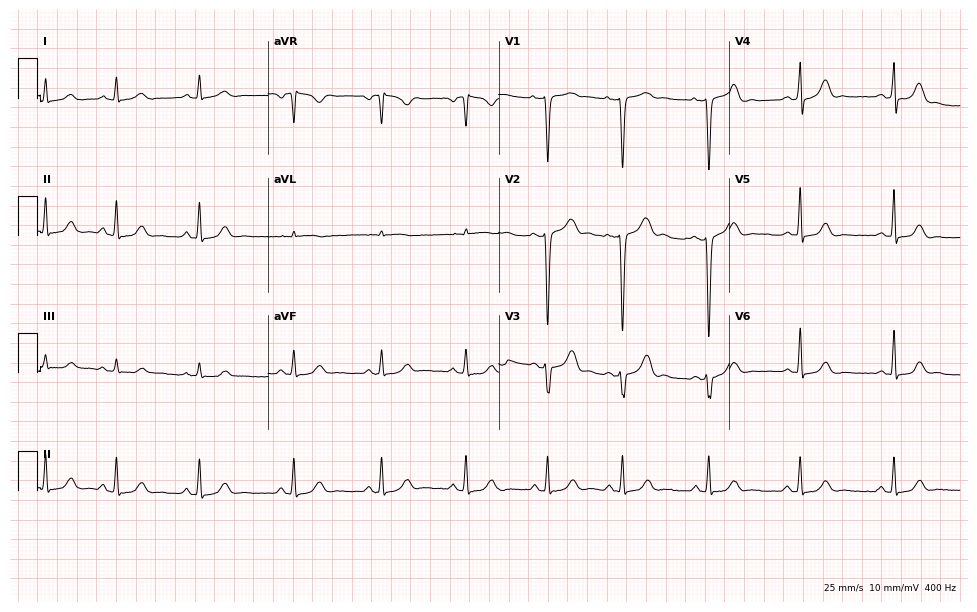
Standard 12-lead ECG recorded from a 24-year-old woman (9.4-second recording at 400 Hz). Read as a normal ECG.